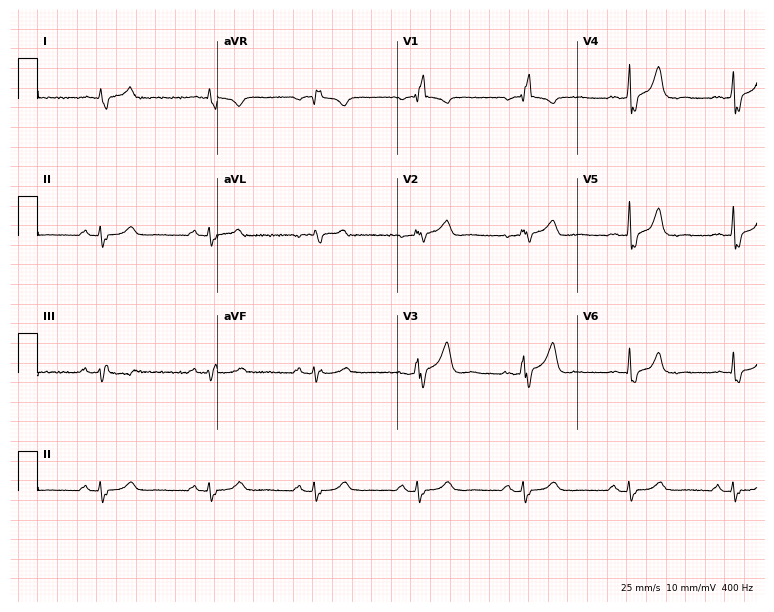
Electrocardiogram, a man, 76 years old. Interpretation includes right bundle branch block (RBBB).